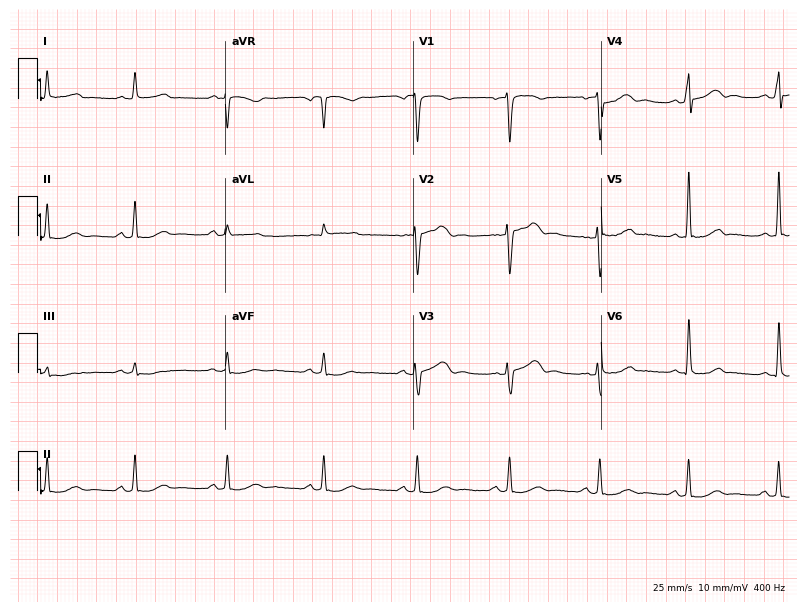
Resting 12-lead electrocardiogram. Patient: a 52-year-old female. Read as a normal ECG.